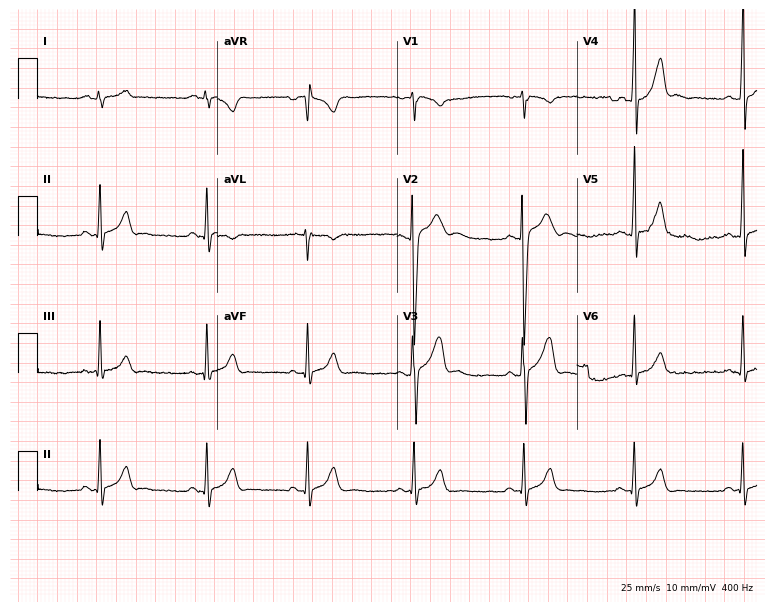
Standard 12-lead ECG recorded from a male, 19 years old (7.3-second recording at 400 Hz). None of these six findings is recorded: first-degree AV block, right bundle branch block (RBBB), left bundle branch block (LBBB), sinus bradycardia, atrial fibrillation (AF), sinus tachycardia. Only these six findings were labelled.